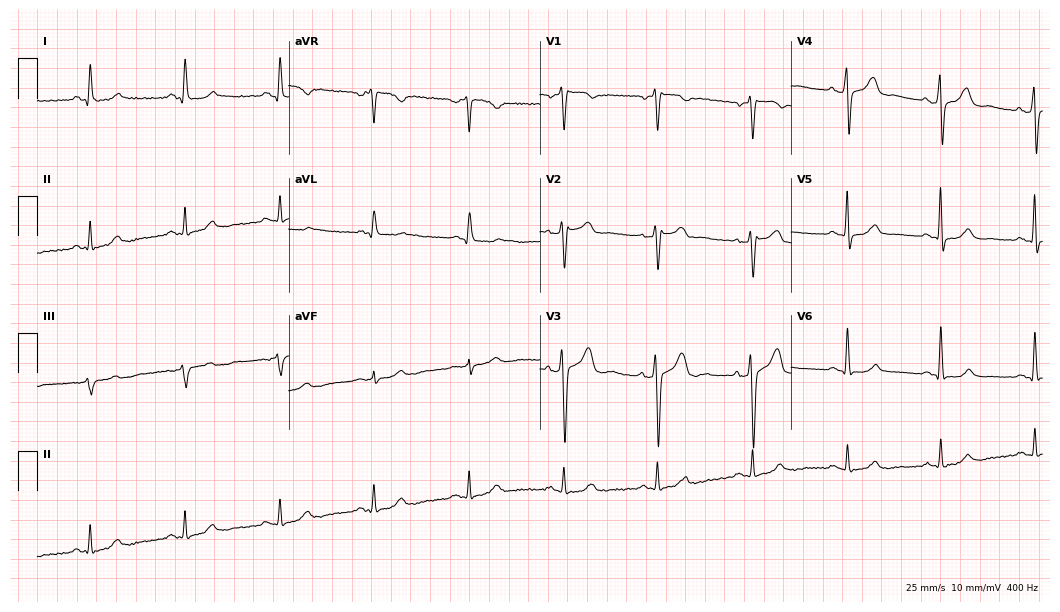
Standard 12-lead ECG recorded from a man, 68 years old. None of these six findings is recorded: first-degree AV block, right bundle branch block, left bundle branch block, sinus bradycardia, atrial fibrillation, sinus tachycardia. Findings outside these six are not listed.